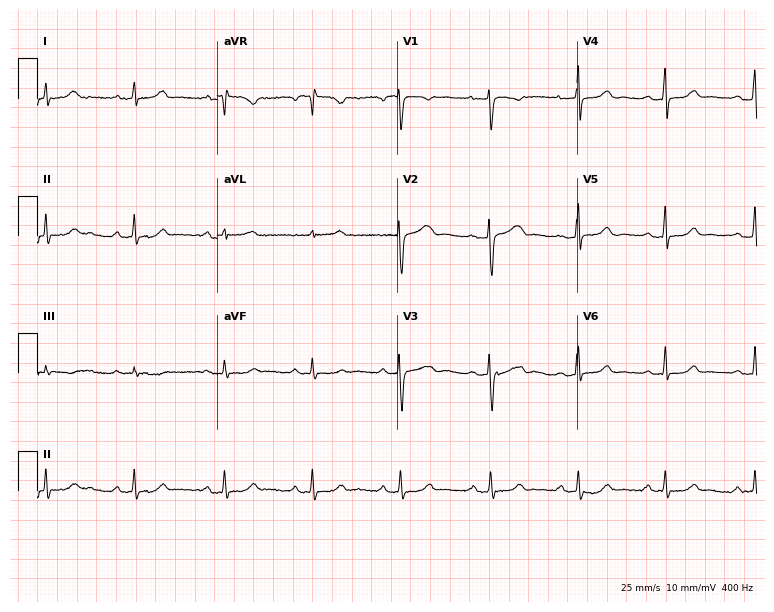
Standard 12-lead ECG recorded from a female, 40 years old (7.3-second recording at 400 Hz). Read as a normal ECG.